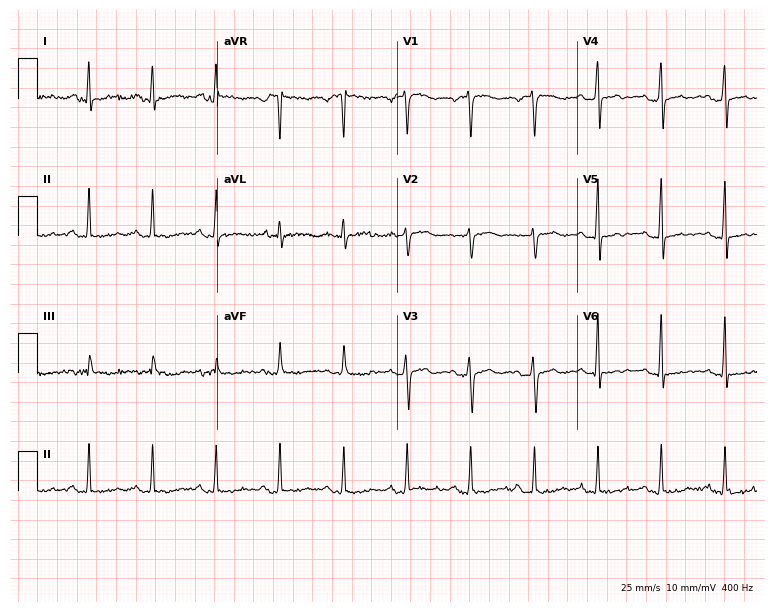
Standard 12-lead ECG recorded from a woman, 37 years old. None of these six findings is recorded: first-degree AV block, right bundle branch block, left bundle branch block, sinus bradycardia, atrial fibrillation, sinus tachycardia. Findings outside these six are not listed.